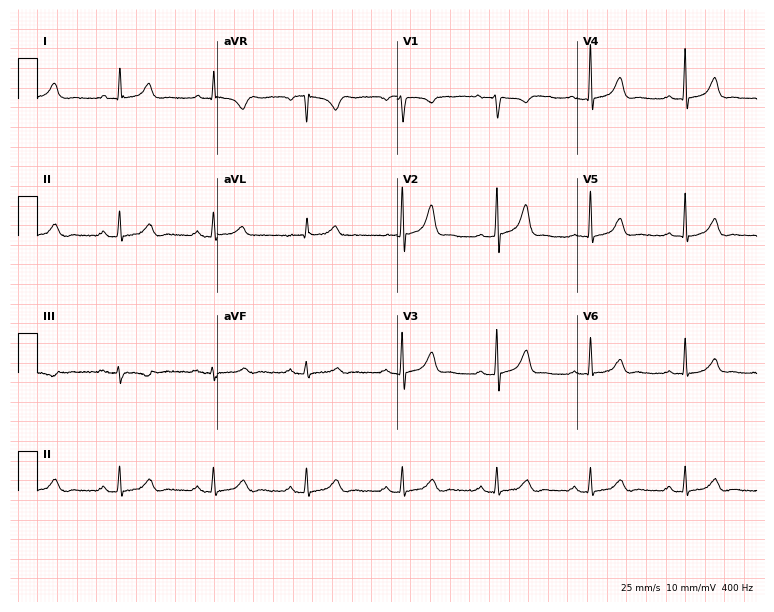
Standard 12-lead ECG recorded from a female, 50 years old (7.3-second recording at 400 Hz). Read as a normal ECG.